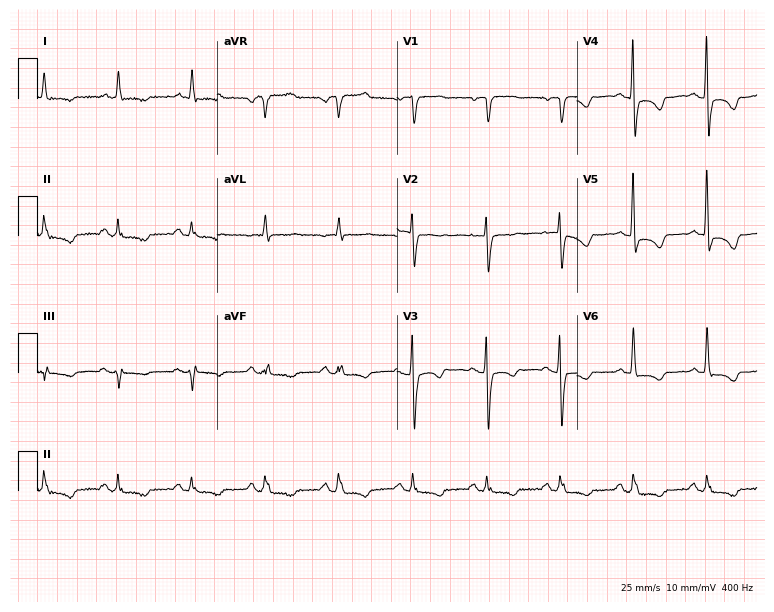
Standard 12-lead ECG recorded from a 76-year-old female patient. None of these six findings is recorded: first-degree AV block, right bundle branch block (RBBB), left bundle branch block (LBBB), sinus bradycardia, atrial fibrillation (AF), sinus tachycardia.